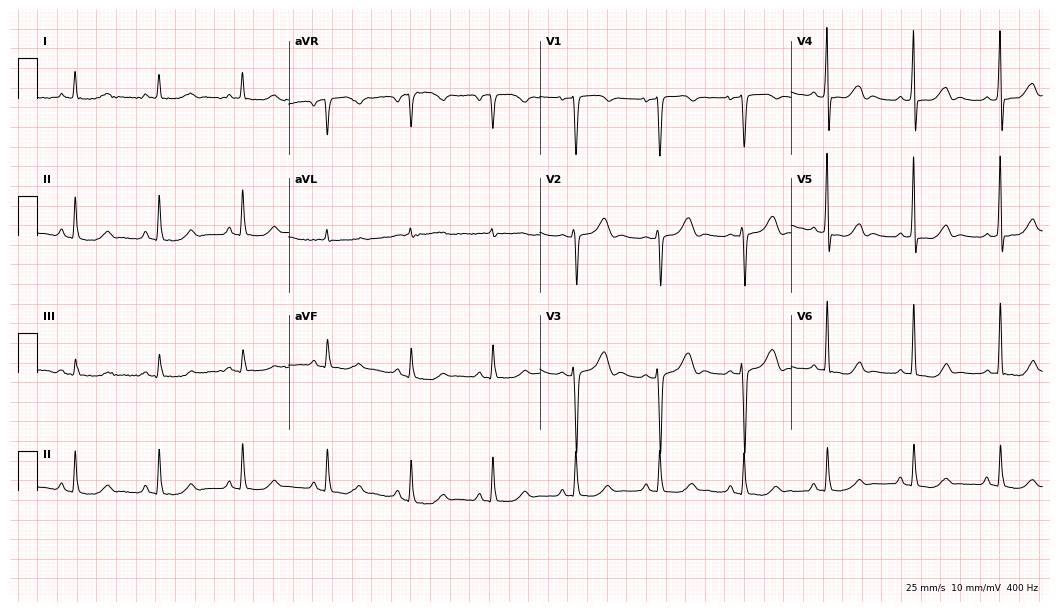
ECG — a female, 49 years old. Screened for six findings — first-degree AV block, right bundle branch block (RBBB), left bundle branch block (LBBB), sinus bradycardia, atrial fibrillation (AF), sinus tachycardia — none is recorded. Findings outside these six are not listed.